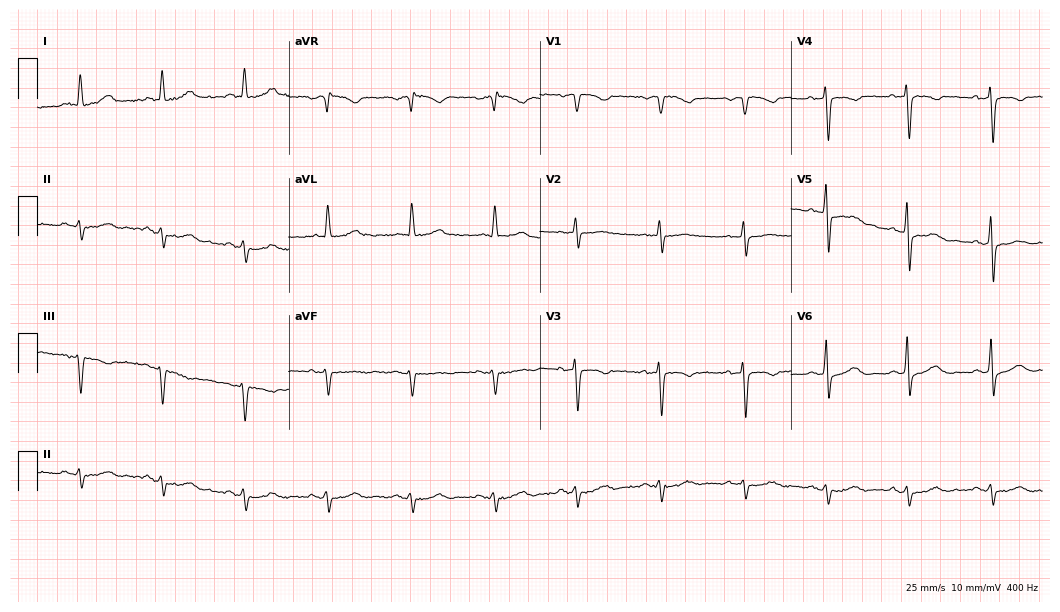
Standard 12-lead ECG recorded from a woman, 76 years old (10.2-second recording at 400 Hz). None of these six findings is recorded: first-degree AV block, right bundle branch block, left bundle branch block, sinus bradycardia, atrial fibrillation, sinus tachycardia.